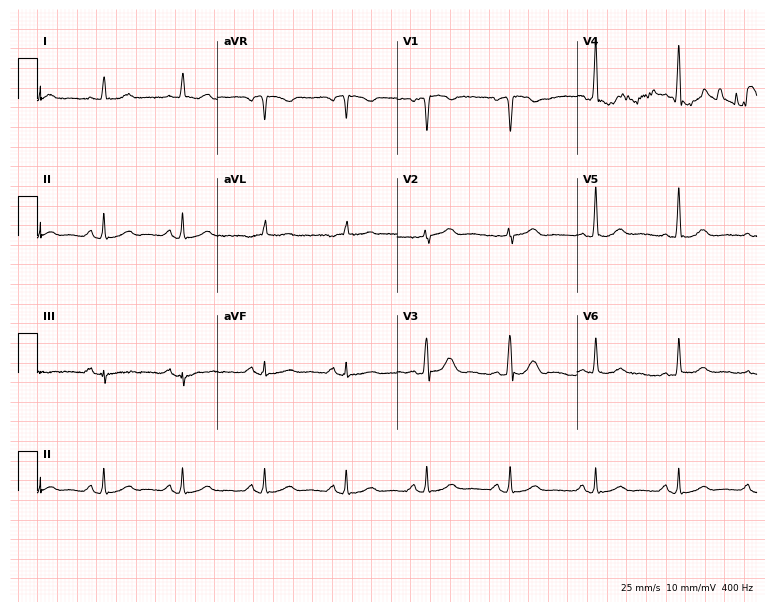
Standard 12-lead ECG recorded from a 45-year-old male. Read as a normal ECG.